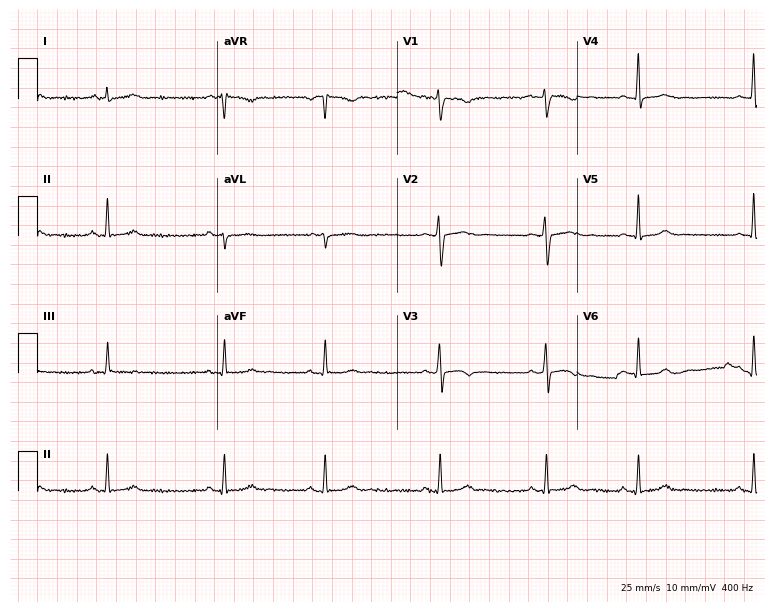
Electrocardiogram (7.3-second recording at 400 Hz), a 29-year-old female patient. Overall reading on record: normal ECG.